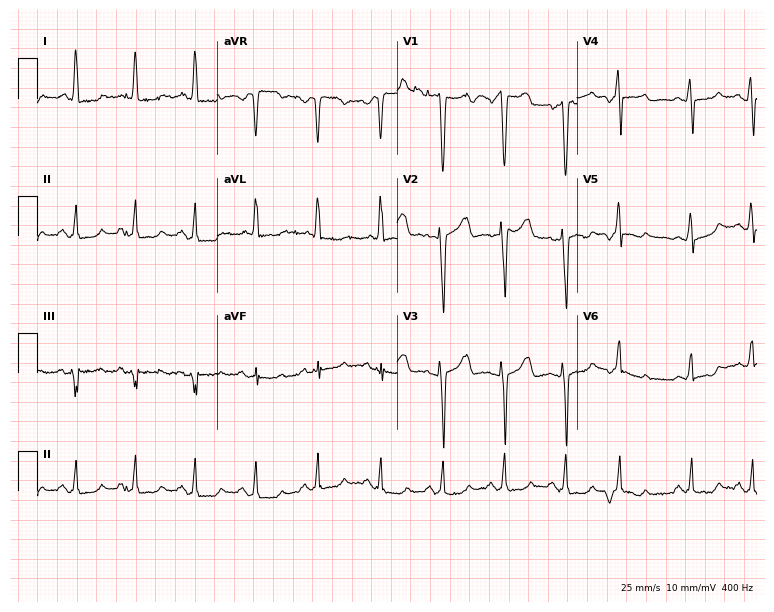
ECG — a female patient, 49 years old. Screened for six findings — first-degree AV block, right bundle branch block, left bundle branch block, sinus bradycardia, atrial fibrillation, sinus tachycardia — none is recorded. Findings outside these six are not listed.